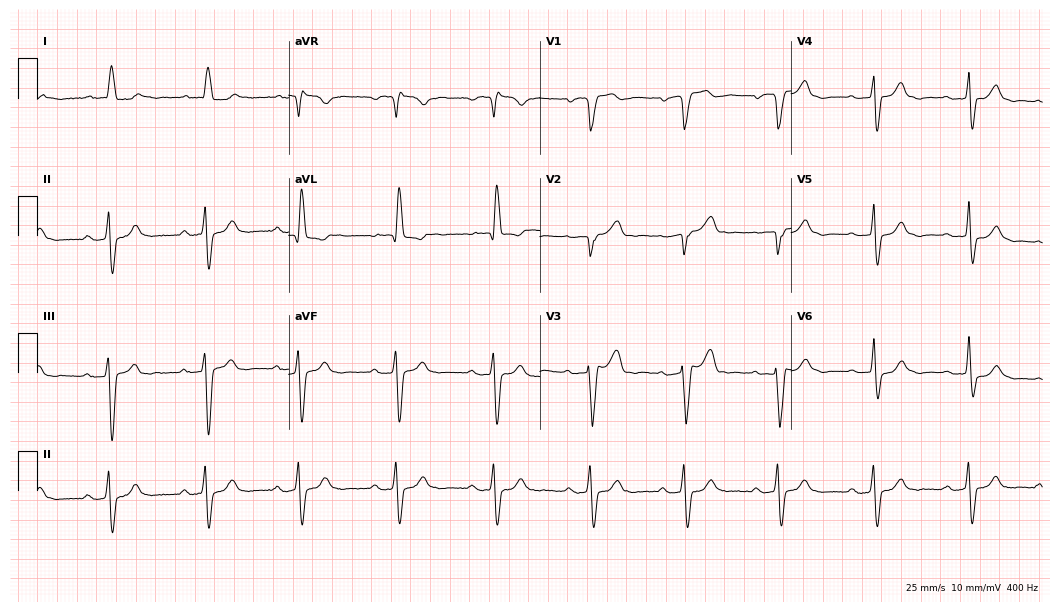
Standard 12-lead ECG recorded from an 84-year-old male. None of these six findings is recorded: first-degree AV block, right bundle branch block, left bundle branch block, sinus bradycardia, atrial fibrillation, sinus tachycardia. Only these six findings were labelled.